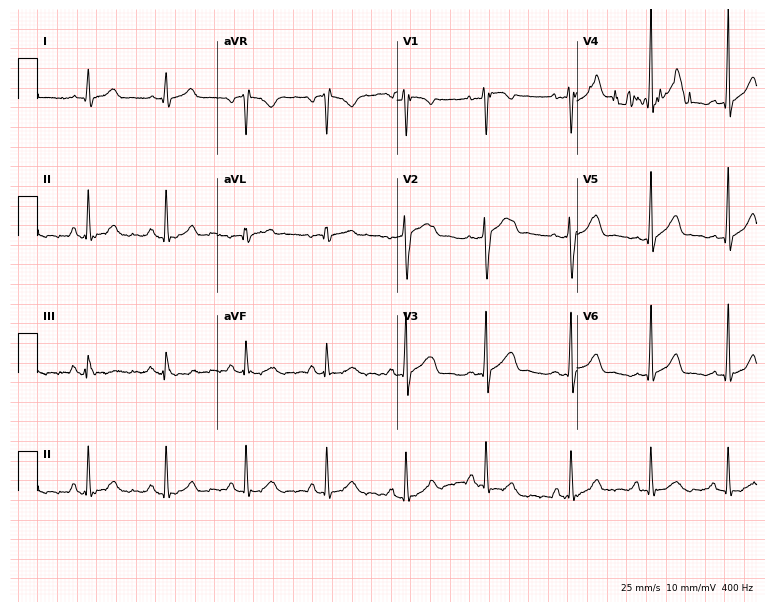
ECG — a male patient, 40 years old. Screened for six findings — first-degree AV block, right bundle branch block, left bundle branch block, sinus bradycardia, atrial fibrillation, sinus tachycardia — none is recorded. Only these six findings were labelled.